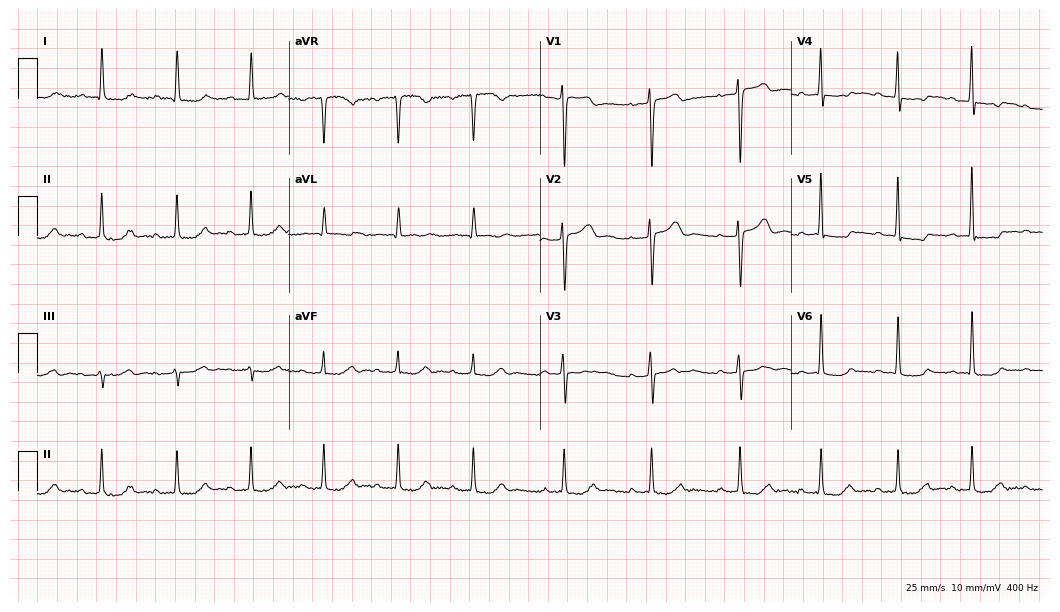
Resting 12-lead electrocardiogram (10.2-second recording at 400 Hz). Patient: an 80-year-old female. The tracing shows first-degree AV block.